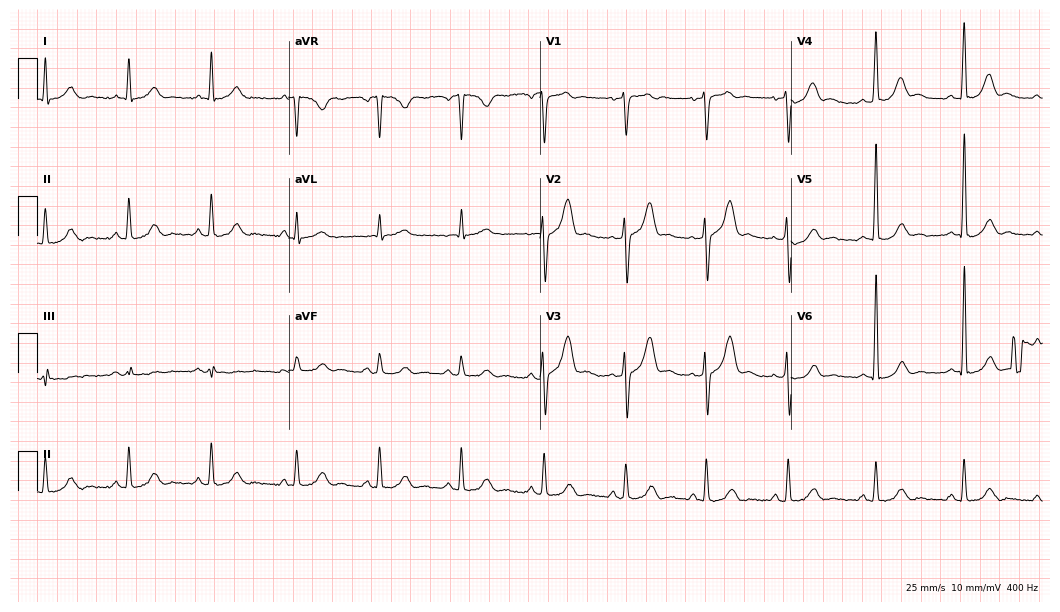
ECG — a male patient, 54 years old. Screened for six findings — first-degree AV block, right bundle branch block, left bundle branch block, sinus bradycardia, atrial fibrillation, sinus tachycardia — none is recorded. Only these six findings were labelled.